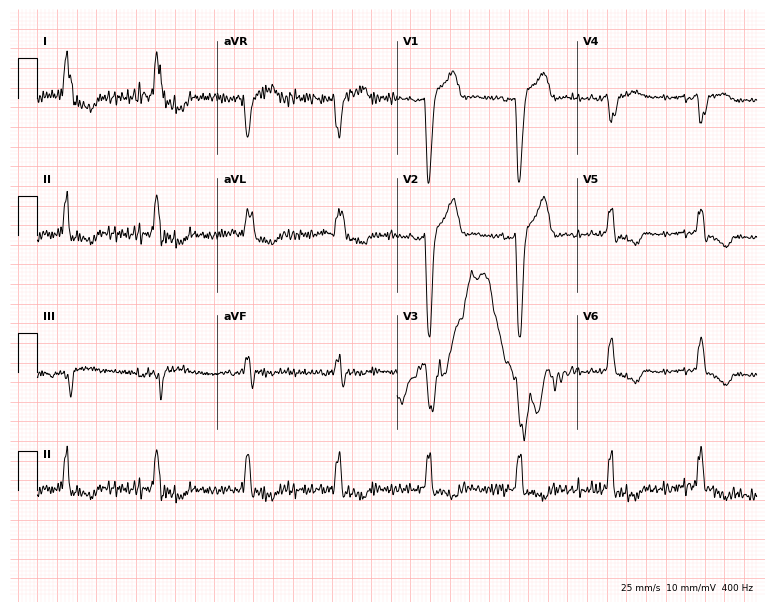
12-lead ECG from a female, 81 years old. Shows left bundle branch block (LBBB).